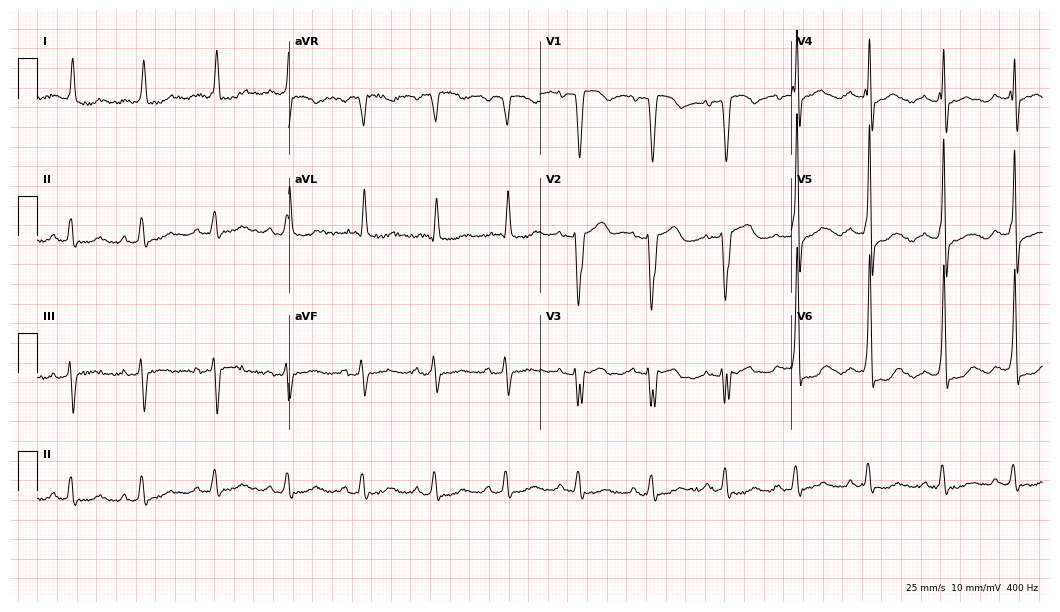
Resting 12-lead electrocardiogram. Patient: a female, 75 years old. None of these six findings is recorded: first-degree AV block, right bundle branch block, left bundle branch block, sinus bradycardia, atrial fibrillation, sinus tachycardia.